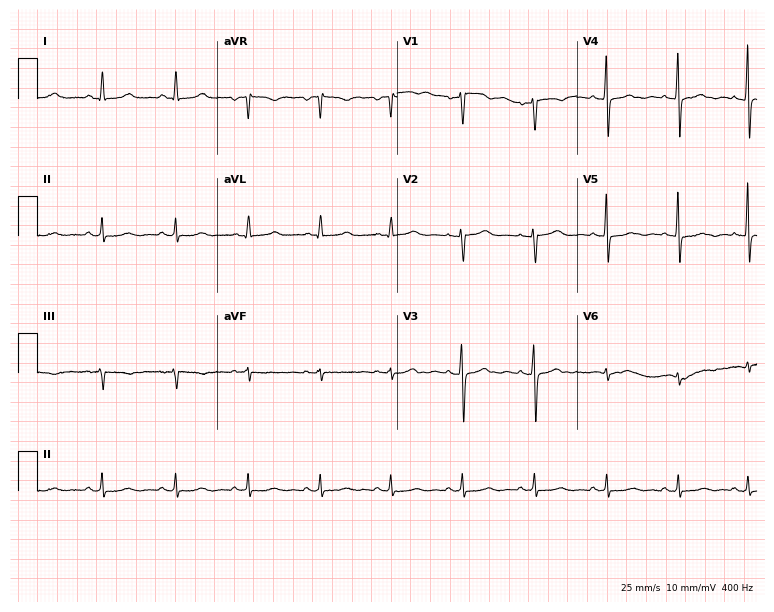
Resting 12-lead electrocardiogram (7.3-second recording at 400 Hz). Patient: a 45-year-old female. None of these six findings is recorded: first-degree AV block, right bundle branch block (RBBB), left bundle branch block (LBBB), sinus bradycardia, atrial fibrillation (AF), sinus tachycardia. Only these six findings were labelled.